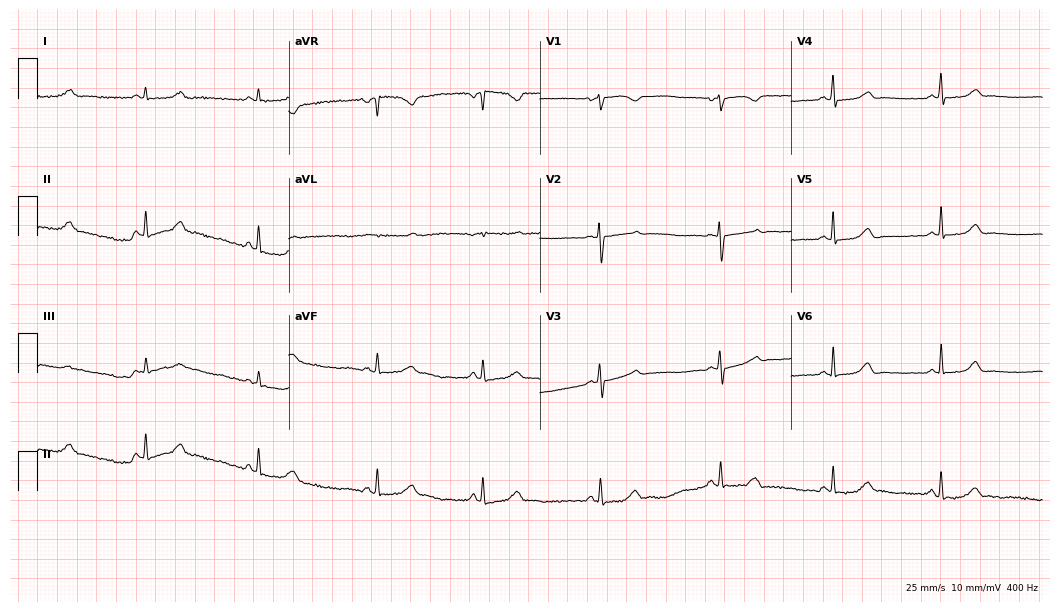
Electrocardiogram (10.2-second recording at 400 Hz), a 19-year-old female. Of the six screened findings (first-degree AV block, right bundle branch block (RBBB), left bundle branch block (LBBB), sinus bradycardia, atrial fibrillation (AF), sinus tachycardia), none is recorded.